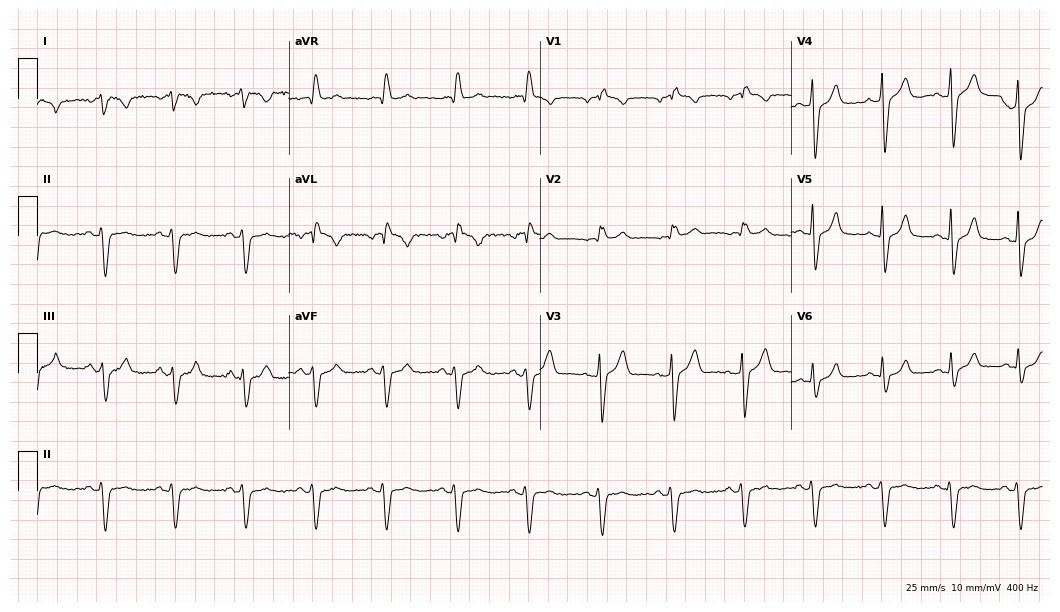
Resting 12-lead electrocardiogram (10.2-second recording at 400 Hz). Patient: a man, 63 years old. None of these six findings is recorded: first-degree AV block, right bundle branch block, left bundle branch block, sinus bradycardia, atrial fibrillation, sinus tachycardia.